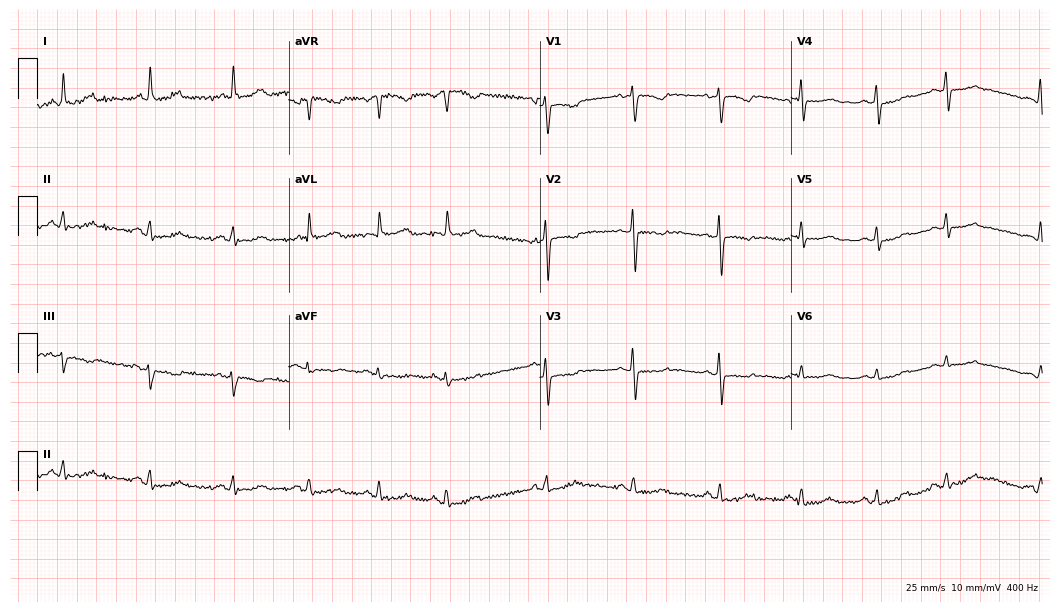
12-lead ECG from a man, 67 years old (10.2-second recording at 400 Hz). No first-degree AV block, right bundle branch block, left bundle branch block, sinus bradycardia, atrial fibrillation or sinus tachycardia recorded for this tracing. Other findings, if any, are not listed.